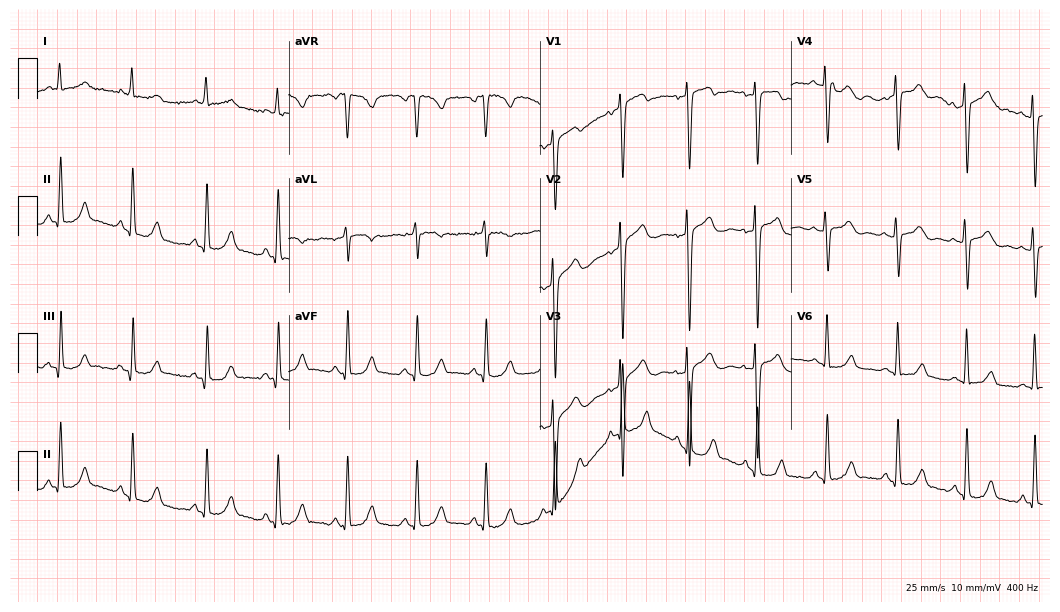
ECG (10.2-second recording at 400 Hz) — a female patient, 43 years old. Labelled as a normal ECG.